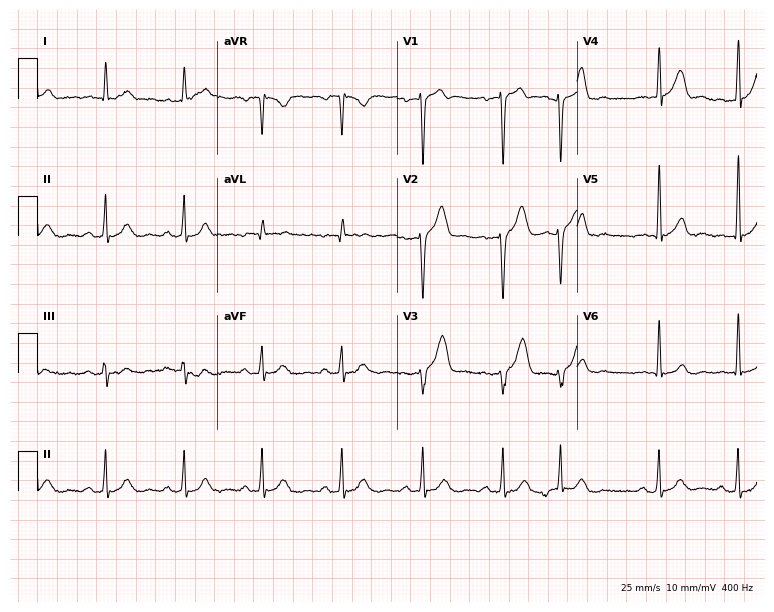
ECG (7.3-second recording at 400 Hz) — a male patient, 47 years old. Labelled as a normal ECG.